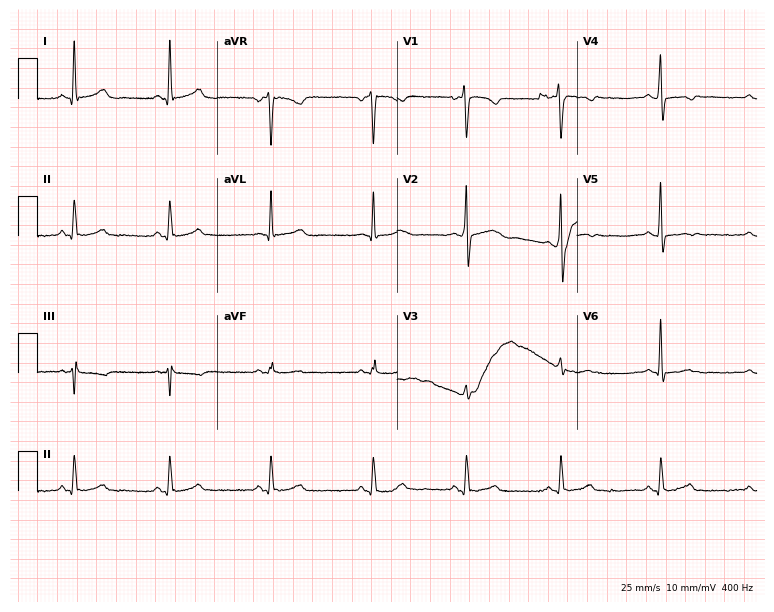
12-lead ECG from a 32-year-old female (7.3-second recording at 400 Hz). No first-degree AV block, right bundle branch block, left bundle branch block, sinus bradycardia, atrial fibrillation or sinus tachycardia recorded for this tracing.